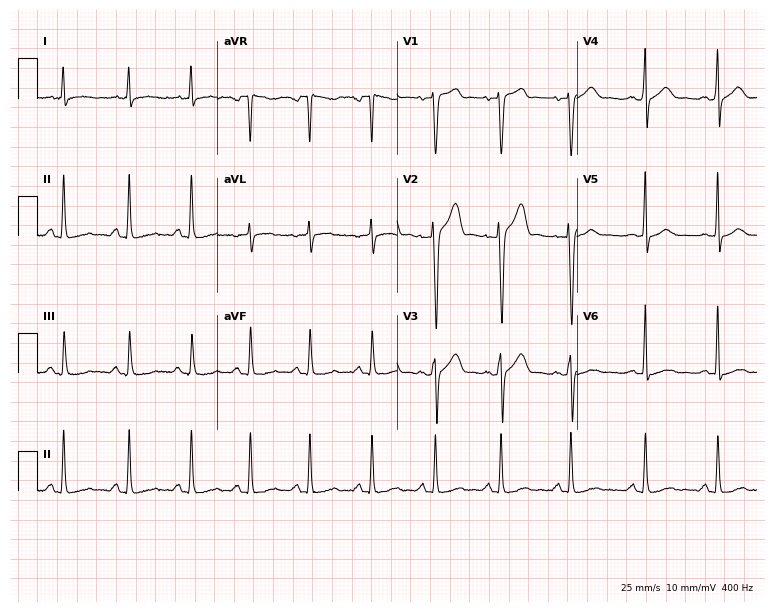
12-lead ECG (7.3-second recording at 400 Hz) from a male, 30 years old. Screened for six findings — first-degree AV block, right bundle branch block, left bundle branch block, sinus bradycardia, atrial fibrillation, sinus tachycardia — none is recorded. Findings outside these six are not listed.